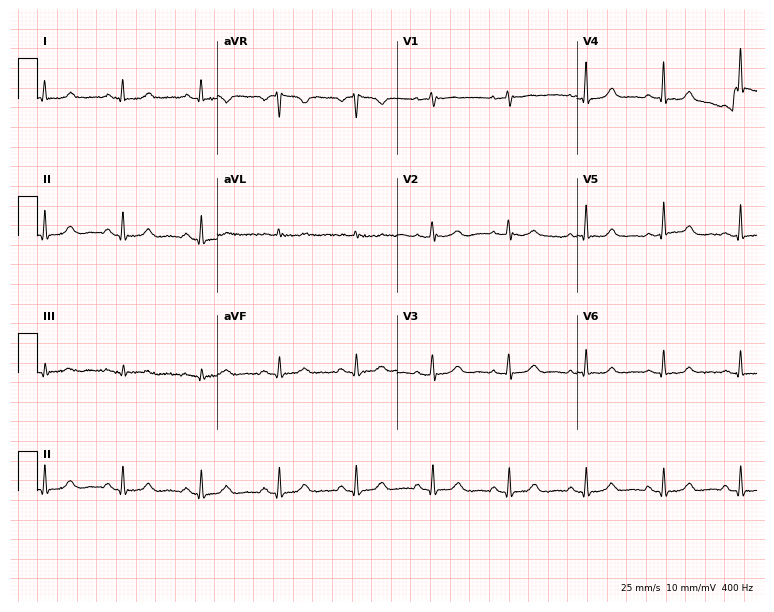
12-lead ECG from a female, 70 years old. Recorded interpretation: within normal limits.